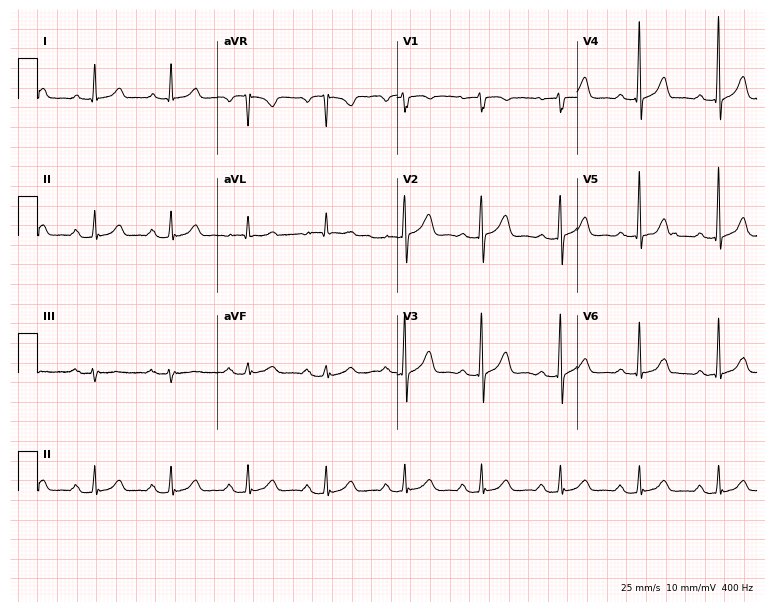
ECG — a 75-year-old woman. Labelled as a normal ECG.